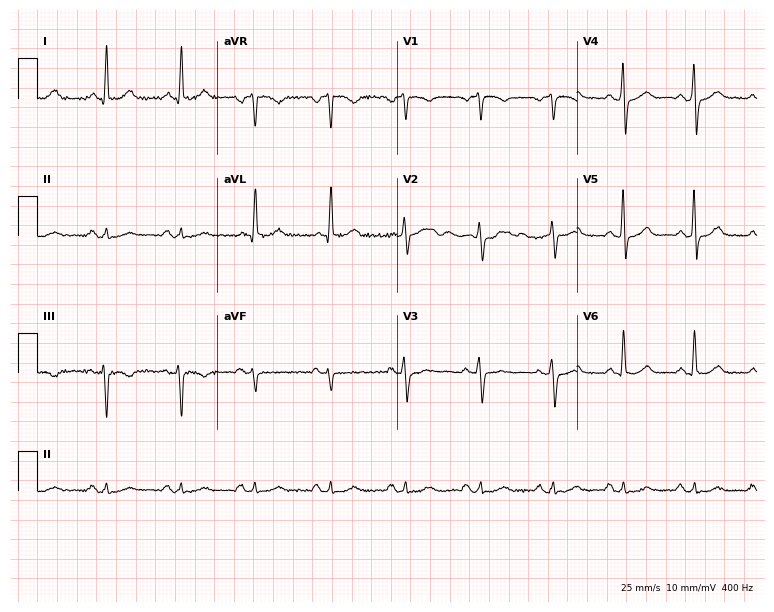
12-lead ECG from a male, 73 years old. No first-degree AV block, right bundle branch block, left bundle branch block, sinus bradycardia, atrial fibrillation or sinus tachycardia recorded for this tracing. Findings outside these six are not listed.